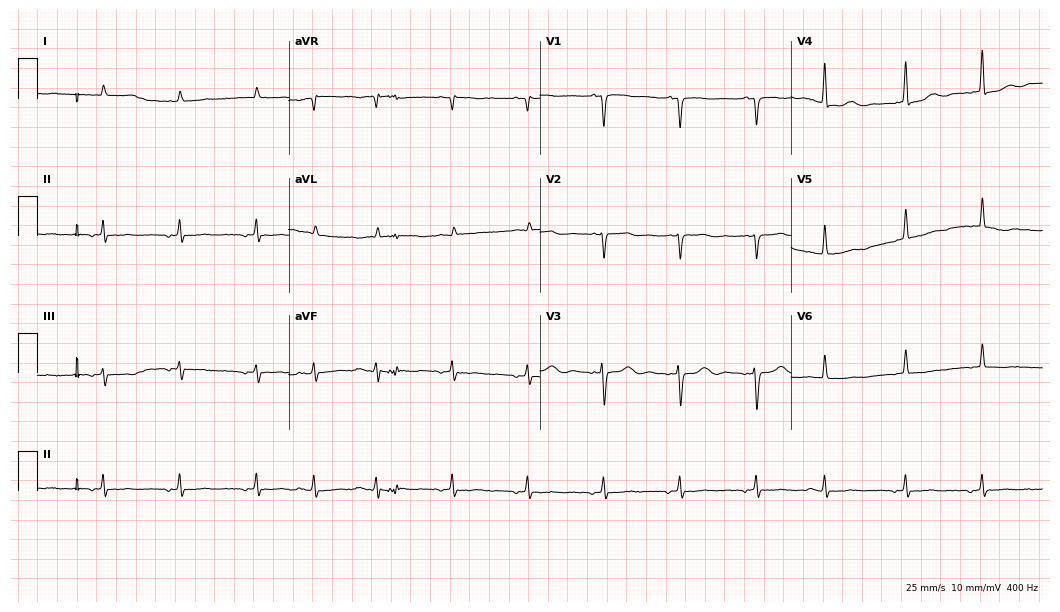
Resting 12-lead electrocardiogram (10.2-second recording at 400 Hz). Patient: an 85-year-old male. None of these six findings is recorded: first-degree AV block, right bundle branch block (RBBB), left bundle branch block (LBBB), sinus bradycardia, atrial fibrillation (AF), sinus tachycardia.